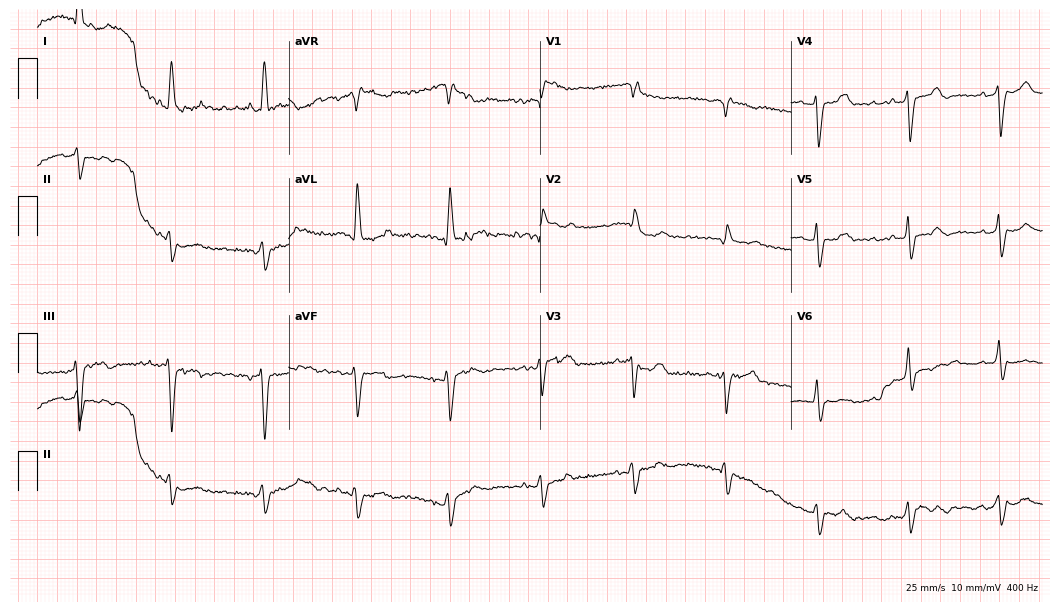
Resting 12-lead electrocardiogram (10.2-second recording at 400 Hz). Patient: an 82-year-old male. None of these six findings is recorded: first-degree AV block, right bundle branch block, left bundle branch block, sinus bradycardia, atrial fibrillation, sinus tachycardia. Only these six findings were labelled.